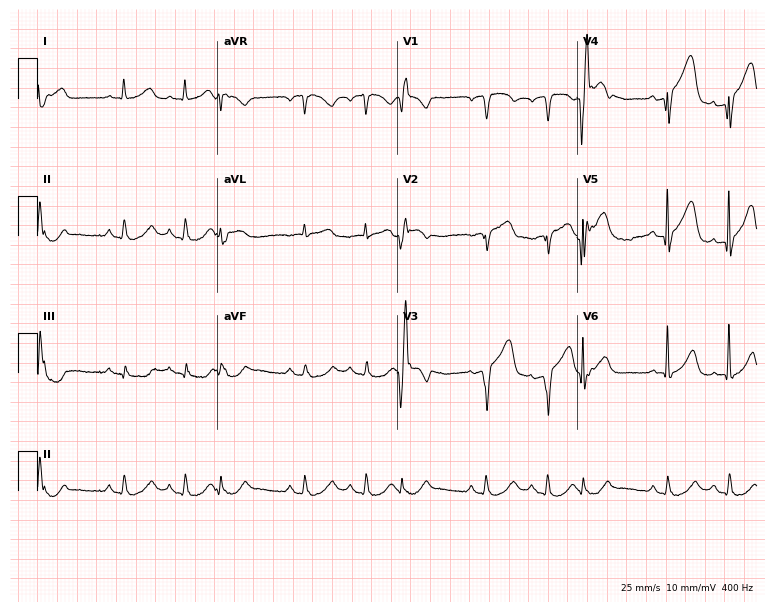
Resting 12-lead electrocardiogram. Patient: a male, 79 years old. None of these six findings is recorded: first-degree AV block, right bundle branch block, left bundle branch block, sinus bradycardia, atrial fibrillation, sinus tachycardia.